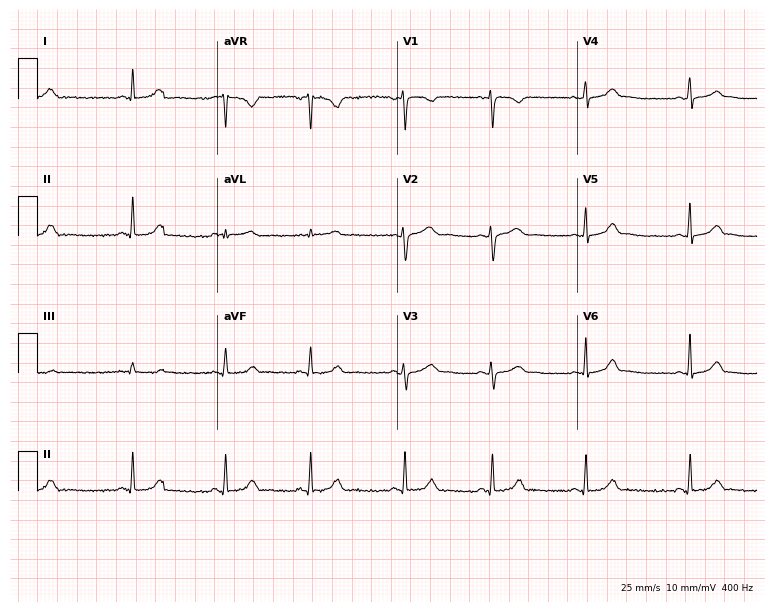
ECG (7.3-second recording at 400 Hz) — a woman, 26 years old. Screened for six findings — first-degree AV block, right bundle branch block, left bundle branch block, sinus bradycardia, atrial fibrillation, sinus tachycardia — none is recorded.